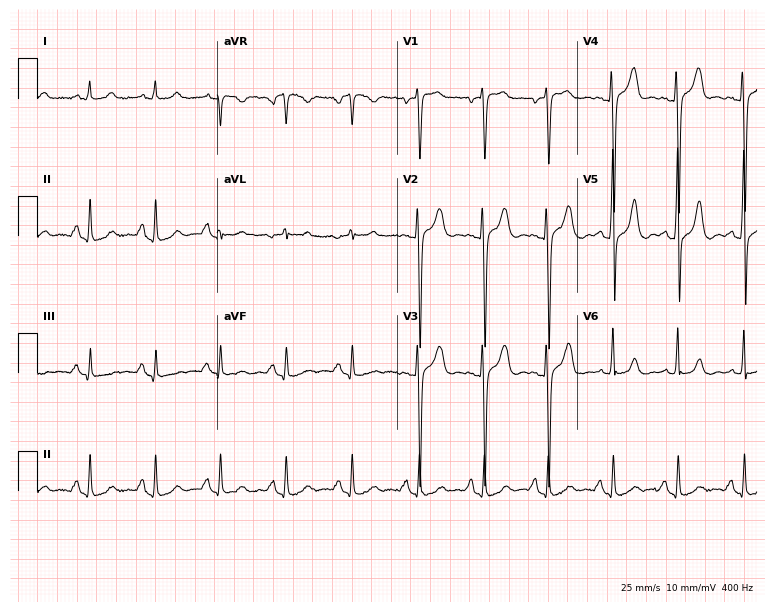
Standard 12-lead ECG recorded from a man, 72 years old. None of these six findings is recorded: first-degree AV block, right bundle branch block, left bundle branch block, sinus bradycardia, atrial fibrillation, sinus tachycardia. Findings outside these six are not listed.